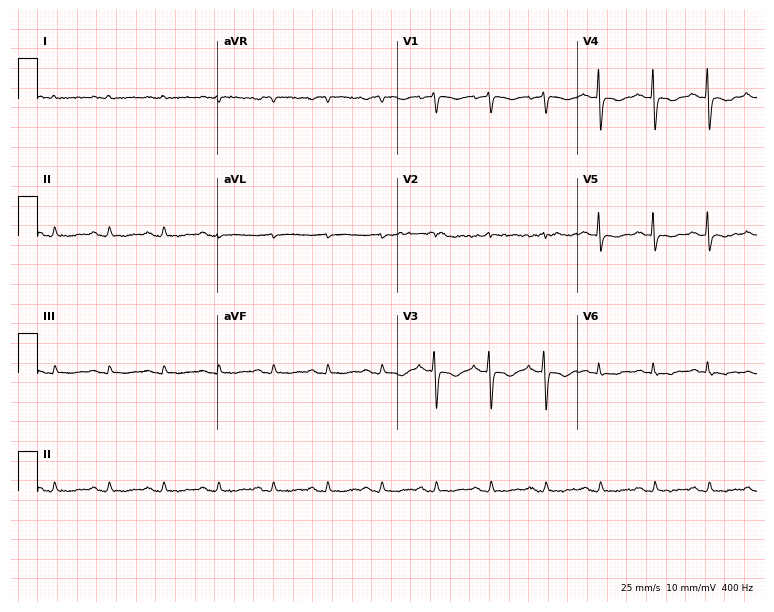
Electrocardiogram (7.3-second recording at 400 Hz), a woman, 78 years old. Of the six screened findings (first-degree AV block, right bundle branch block (RBBB), left bundle branch block (LBBB), sinus bradycardia, atrial fibrillation (AF), sinus tachycardia), none is recorded. Other findings, if any, are not listed.